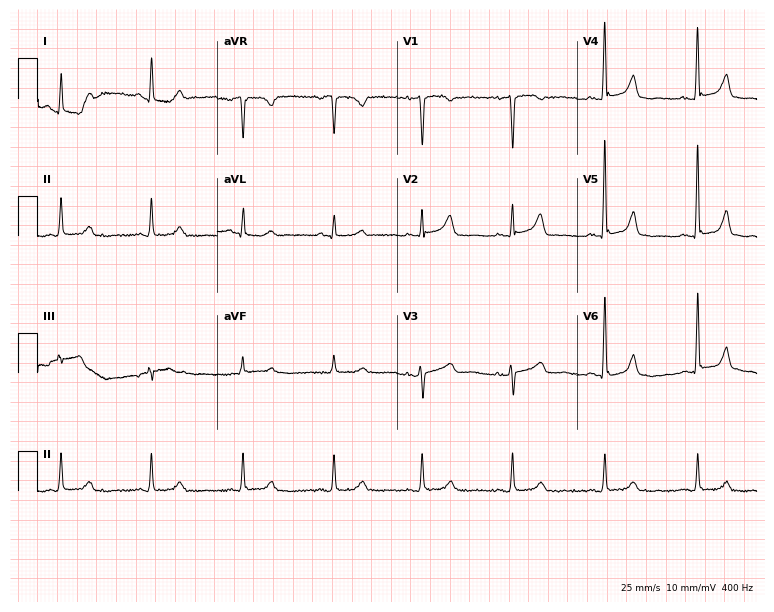
ECG — a 46-year-old female. Labelled as a normal ECG.